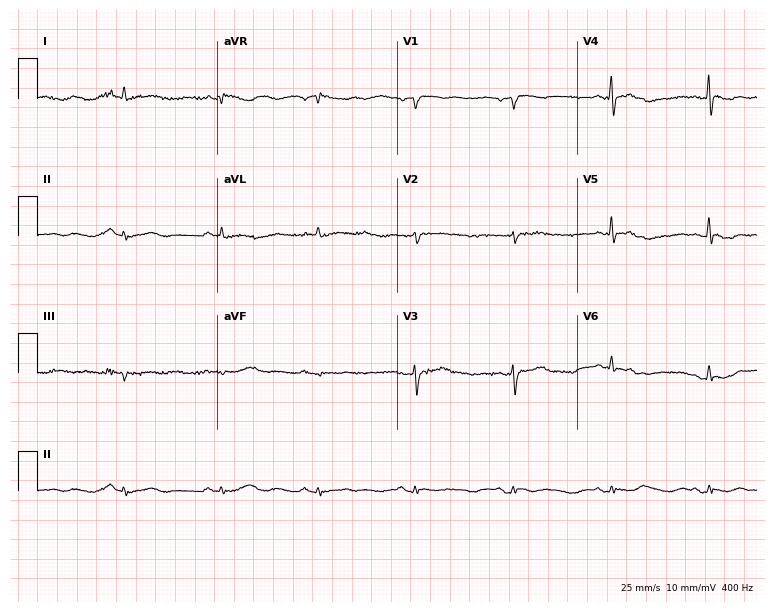
12-lead ECG from a 68-year-old male. Screened for six findings — first-degree AV block, right bundle branch block, left bundle branch block, sinus bradycardia, atrial fibrillation, sinus tachycardia — none is recorded. Other findings, if any, are not listed.